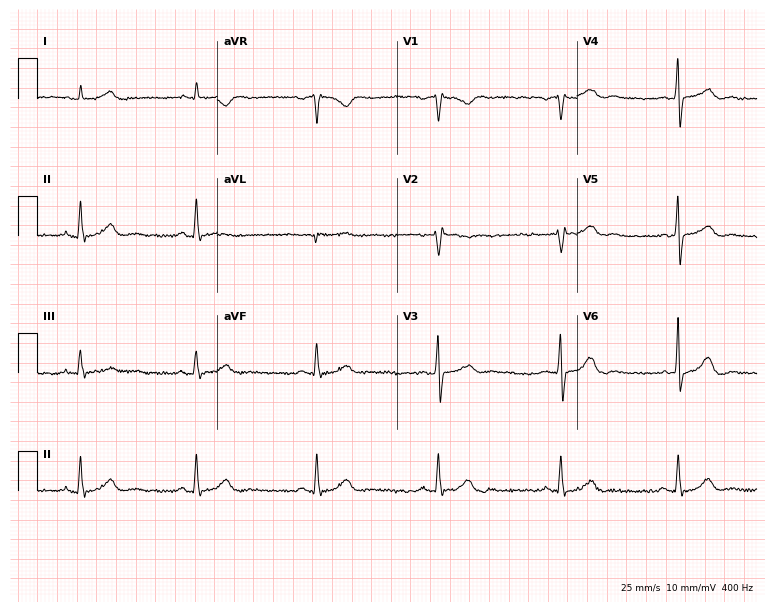
12-lead ECG from a male, 51 years old. No first-degree AV block, right bundle branch block, left bundle branch block, sinus bradycardia, atrial fibrillation or sinus tachycardia recorded for this tracing.